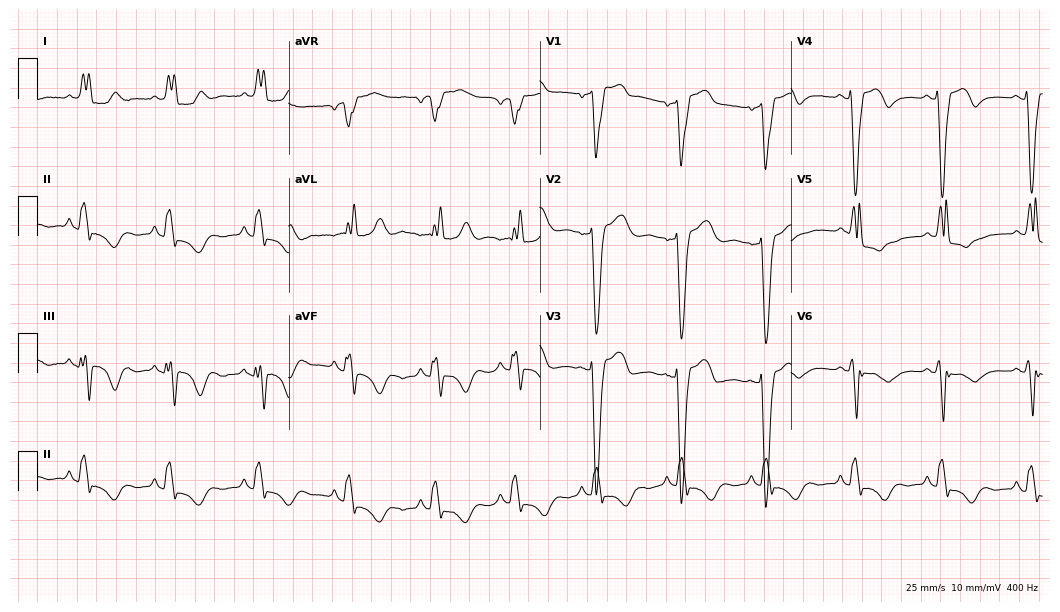
Resting 12-lead electrocardiogram. Patient: a woman, 67 years old. The tracing shows left bundle branch block.